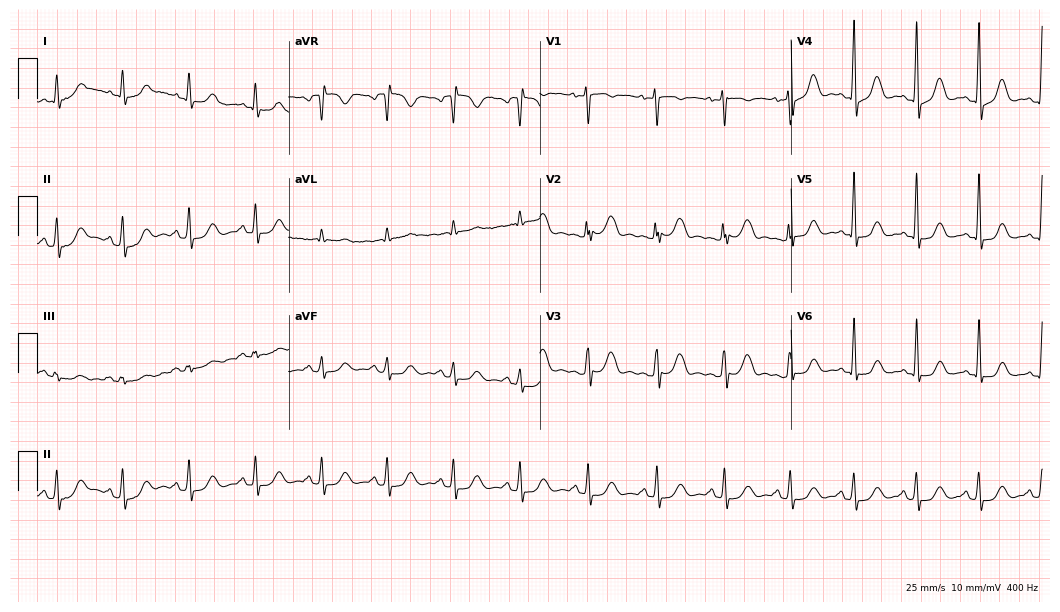
ECG — a female patient, 47 years old. Labelled as a normal ECG.